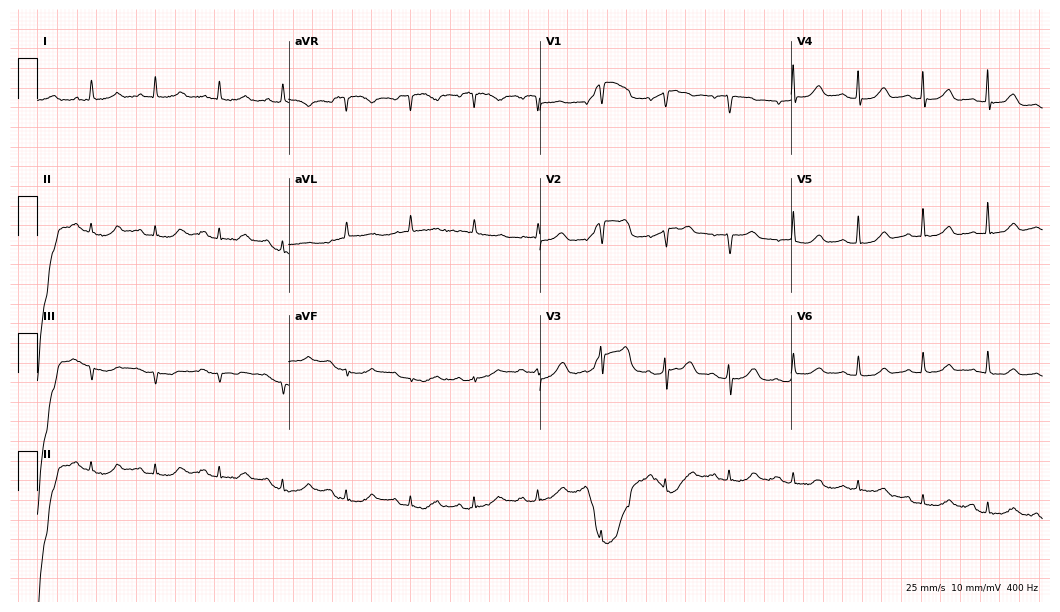
12-lead ECG from an 81-year-old female (10.2-second recording at 400 Hz). Recorded interpretation: within normal limits.